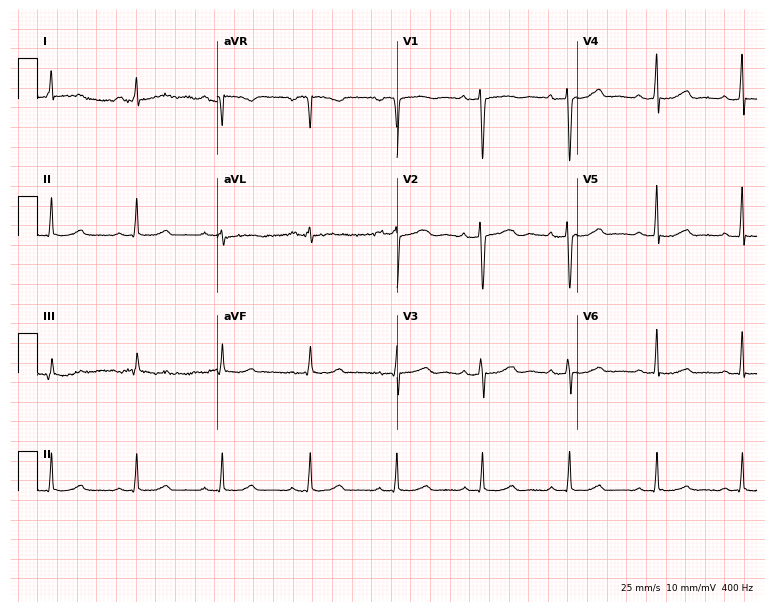
12-lead ECG from a 52-year-old female. No first-degree AV block, right bundle branch block, left bundle branch block, sinus bradycardia, atrial fibrillation or sinus tachycardia recorded for this tracing. Only these six findings were labelled.